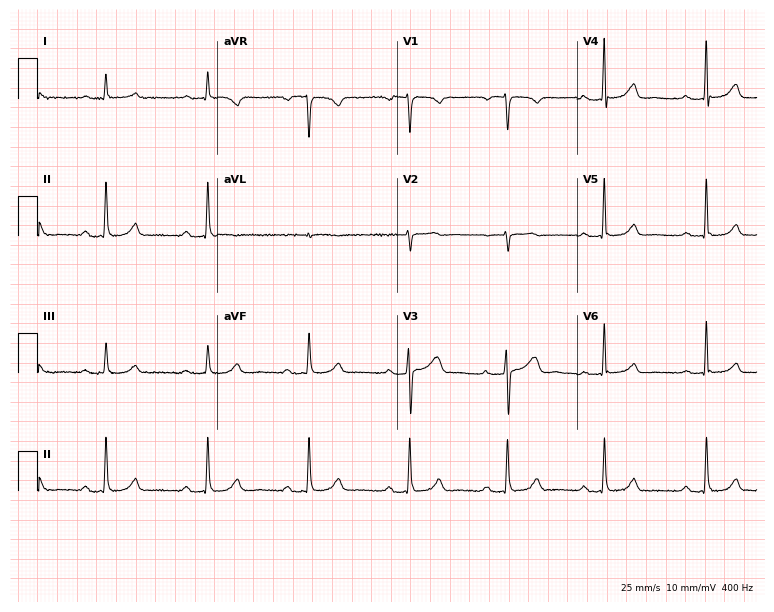
Standard 12-lead ECG recorded from a 47-year-old female patient. The tracing shows first-degree AV block.